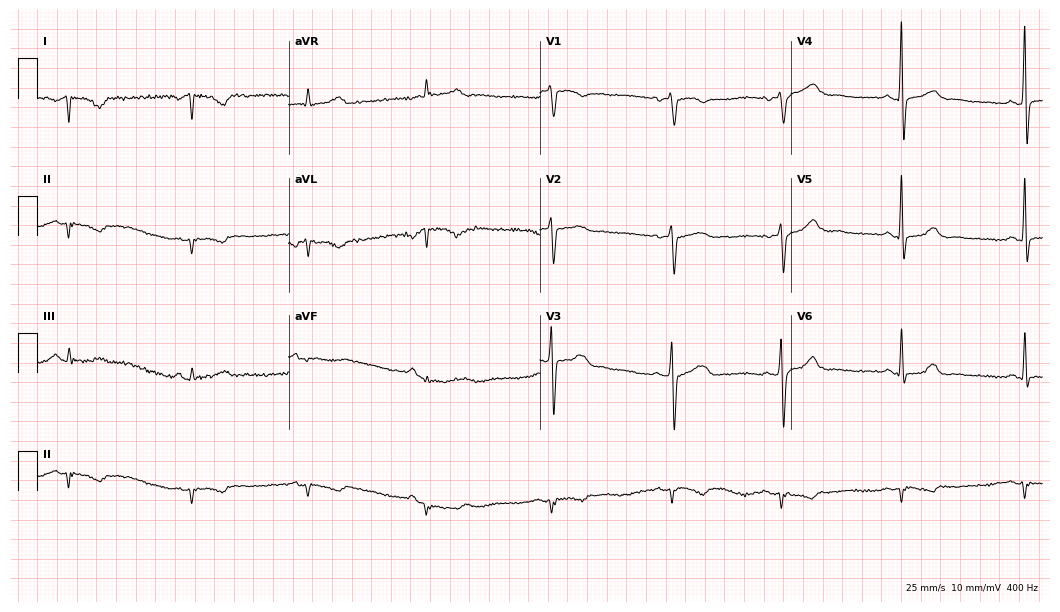
Electrocardiogram, a male, 62 years old. Of the six screened findings (first-degree AV block, right bundle branch block (RBBB), left bundle branch block (LBBB), sinus bradycardia, atrial fibrillation (AF), sinus tachycardia), none is recorded. Findings outside these six are not listed.